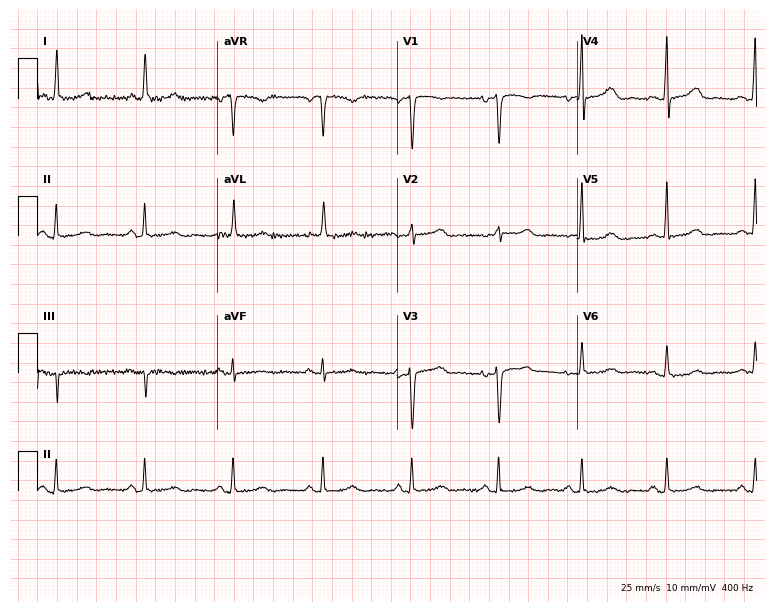
12-lead ECG from a woman, 64 years old (7.3-second recording at 400 Hz). No first-degree AV block, right bundle branch block, left bundle branch block, sinus bradycardia, atrial fibrillation or sinus tachycardia recorded for this tracing.